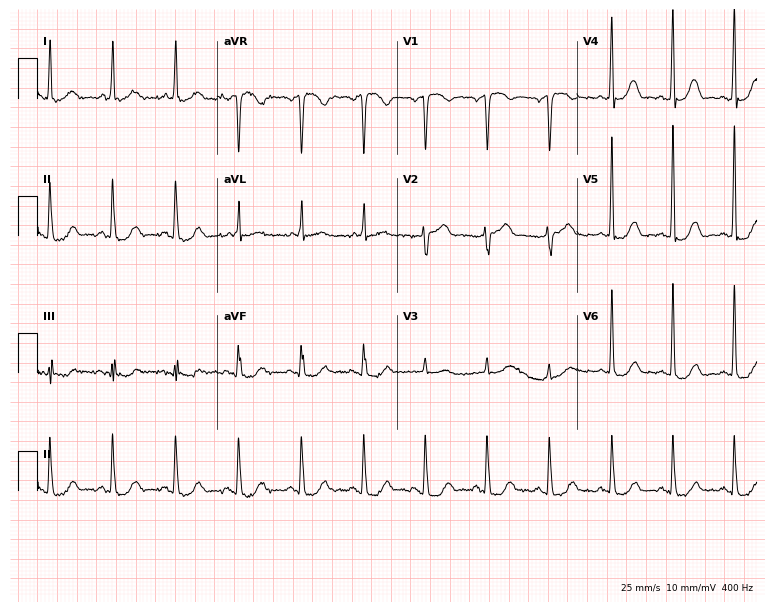
12-lead ECG from a 77-year-old woman. No first-degree AV block, right bundle branch block, left bundle branch block, sinus bradycardia, atrial fibrillation or sinus tachycardia recorded for this tracing.